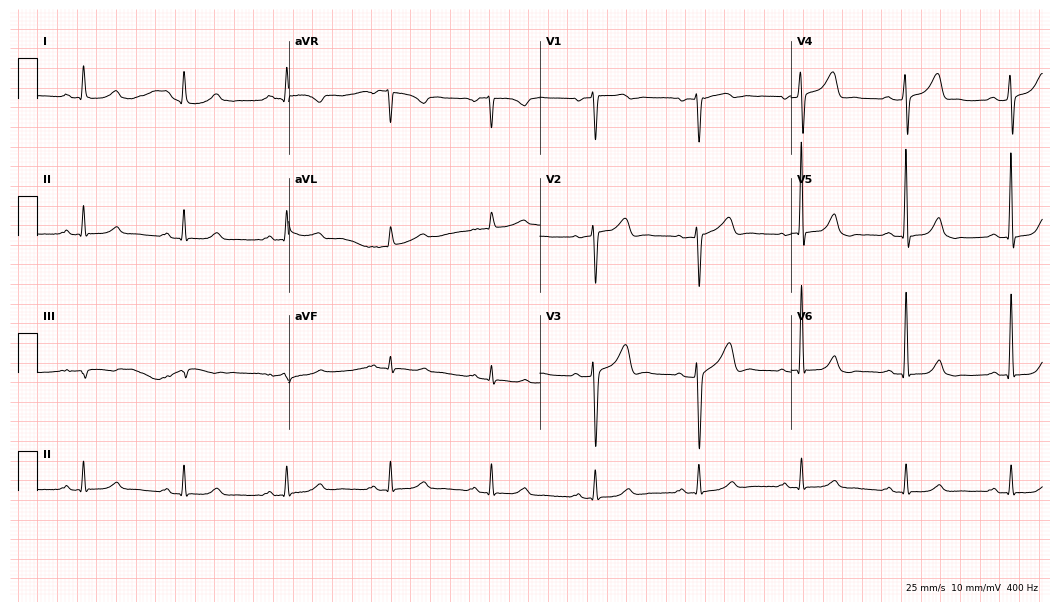
Standard 12-lead ECG recorded from a 61-year-old male. Read as a normal ECG.